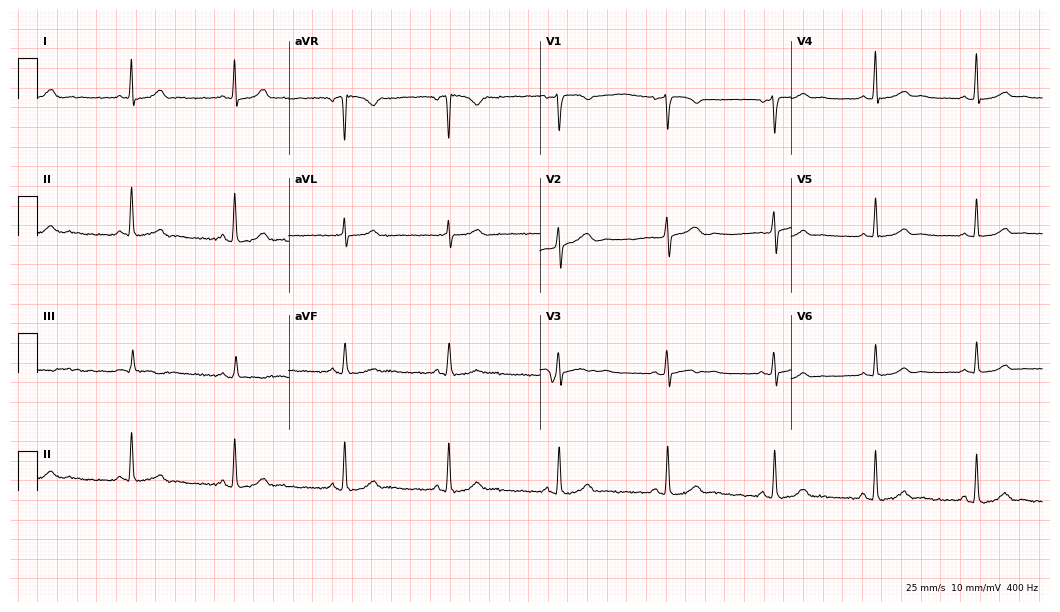
12-lead ECG from a 34-year-old female. Labelled as a normal ECG.